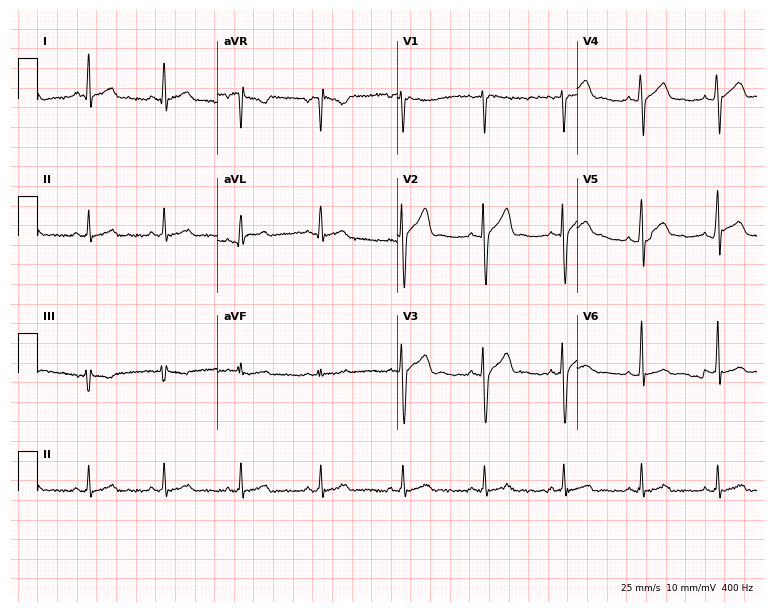
12-lead ECG (7.3-second recording at 400 Hz) from a man, 26 years old. Labelled as a normal ECG.